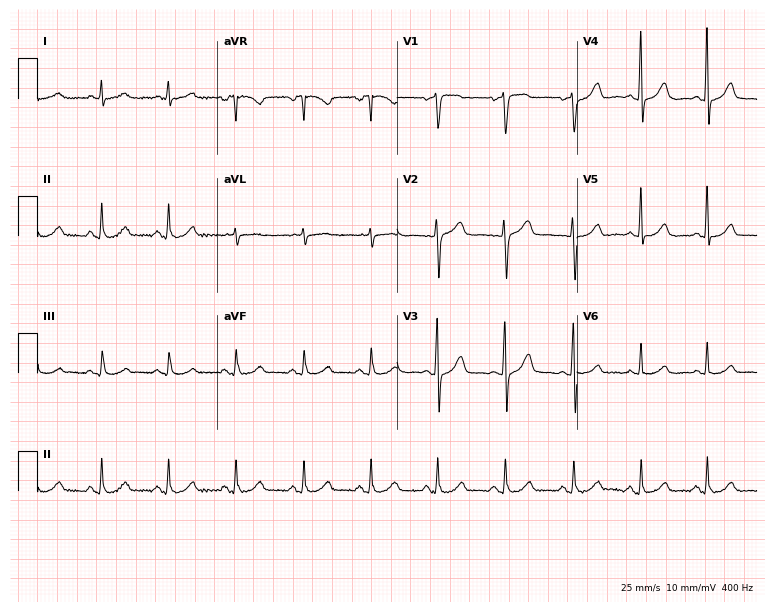
ECG — a 61-year-old woman. Labelled as a normal ECG.